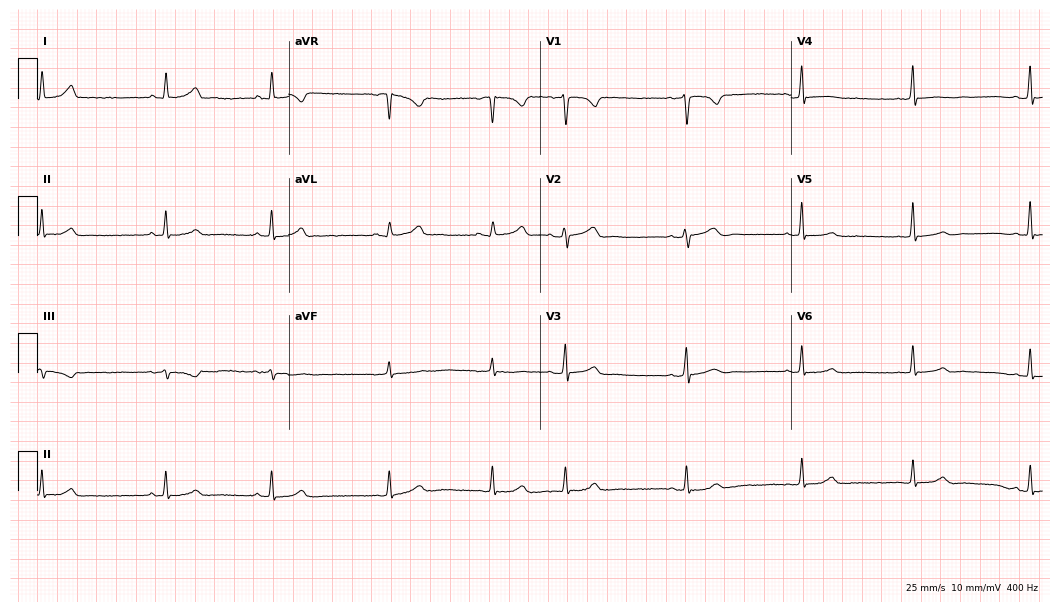
Resting 12-lead electrocardiogram (10.2-second recording at 400 Hz). Patient: a 32-year-old female. None of these six findings is recorded: first-degree AV block, right bundle branch block, left bundle branch block, sinus bradycardia, atrial fibrillation, sinus tachycardia. Other findings, if any, are not listed.